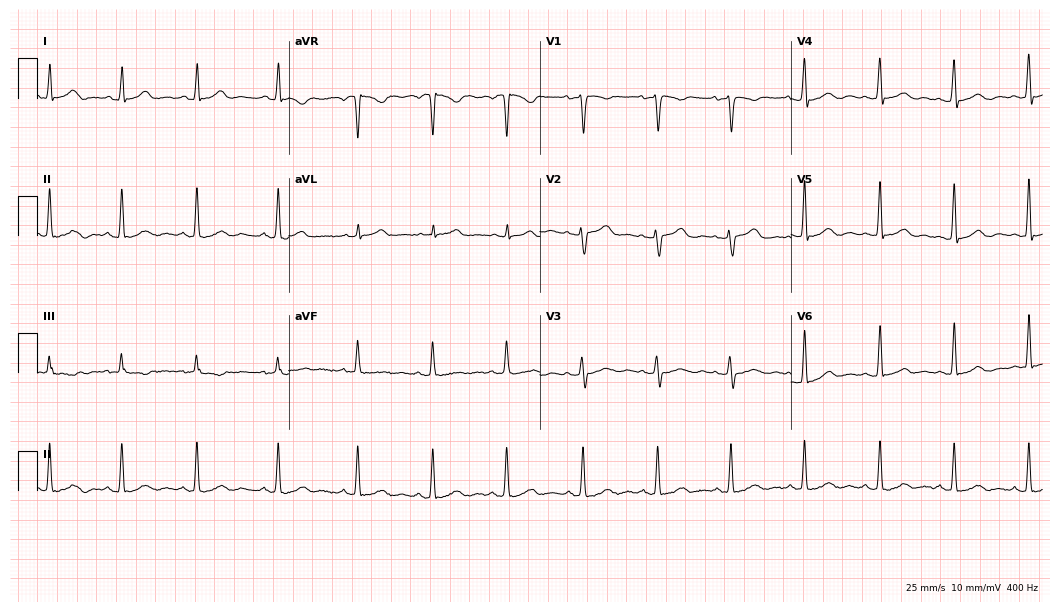
12-lead ECG from a 27-year-old female patient (10.2-second recording at 400 Hz). Recorded interpretation: within normal limits.